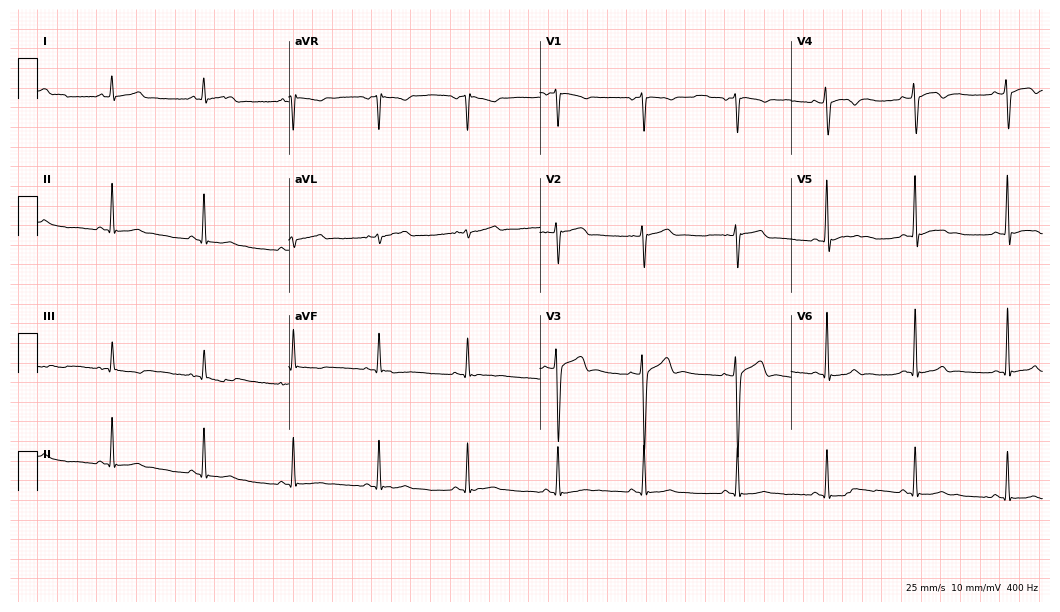
Electrocardiogram, a 21-year-old male. Overall reading on record: normal ECG.